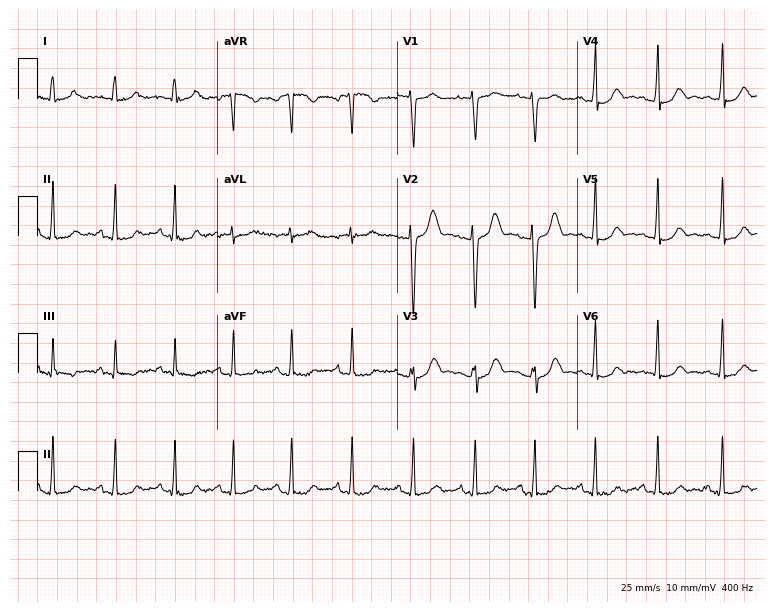
12-lead ECG from a female patient, 18 years old. Labelled as a normal ECG.